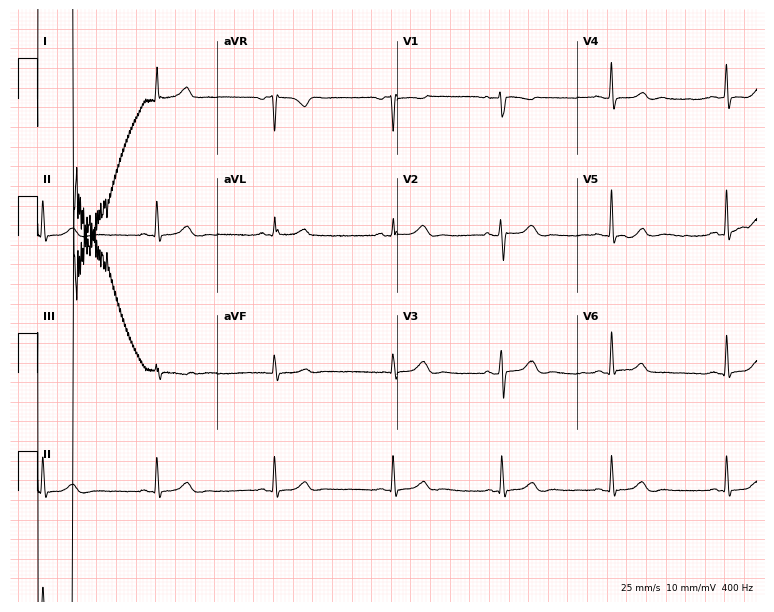
ECG — a female patient, 58 years old. Labelled as a normal ECG.